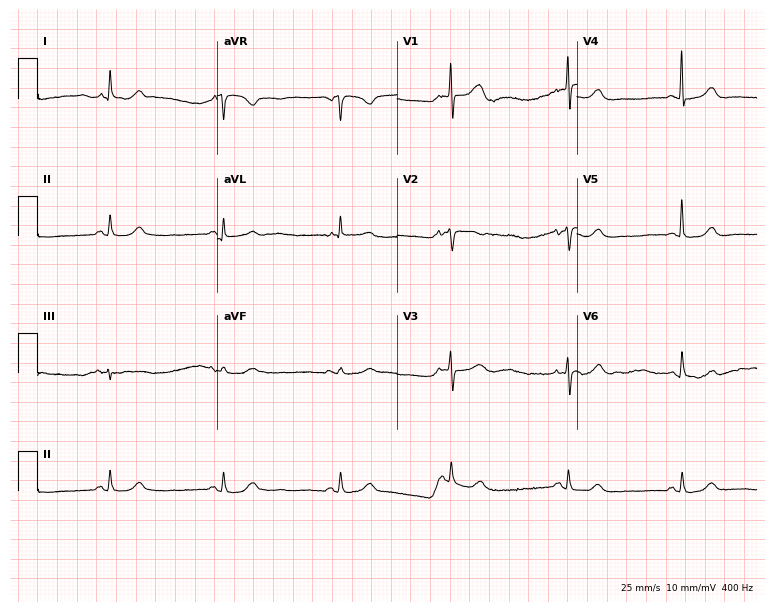
12-lead ECG (7.3-second recording at 400 Hz) from a woman, 78 years old. Labelled as a normal ECG.